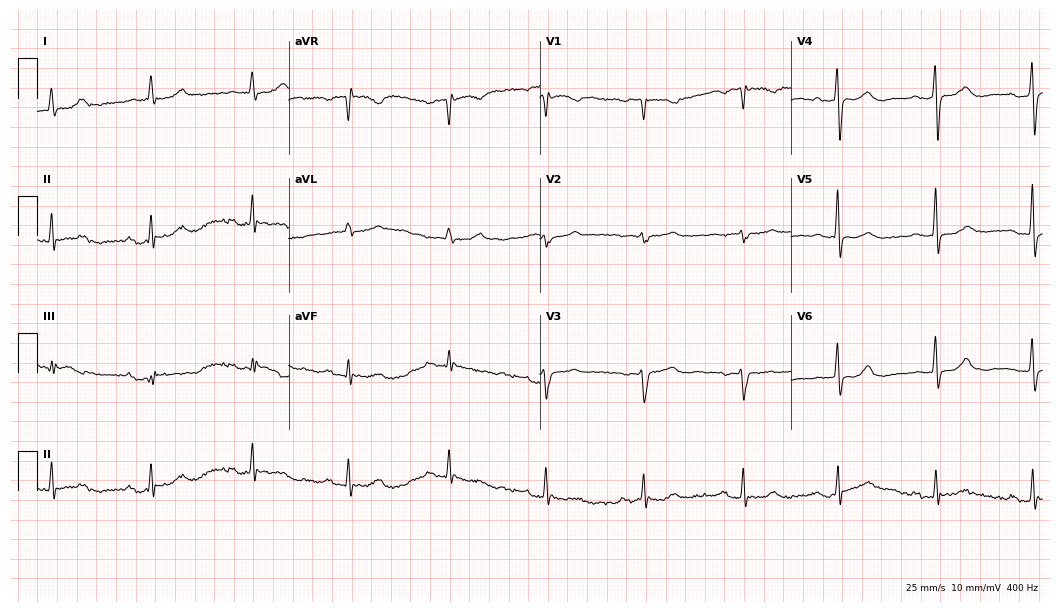
12-lead ECG from an 84-year-old woman. Screened for six findings — first-degree AV block, right bundle branch block, left bundle branch block, sinus bradycardia, atrial fibrillation, sinus tachycardia — none is recorded.